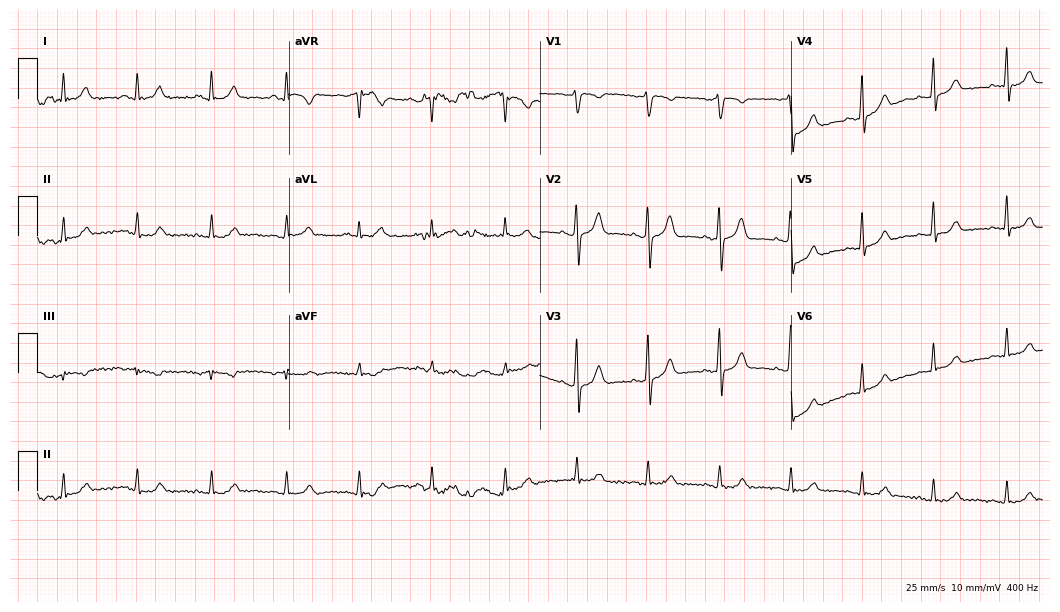
12-lead ECG (10.2-second recording at 400 Hz) from a 47-year-old woman. Screened for six findings — first-degree AV block, right bundle branch block, left bundle branch block, sinus bradycardia, atrial fibrillation, sinus tachycardia — none is recorded.